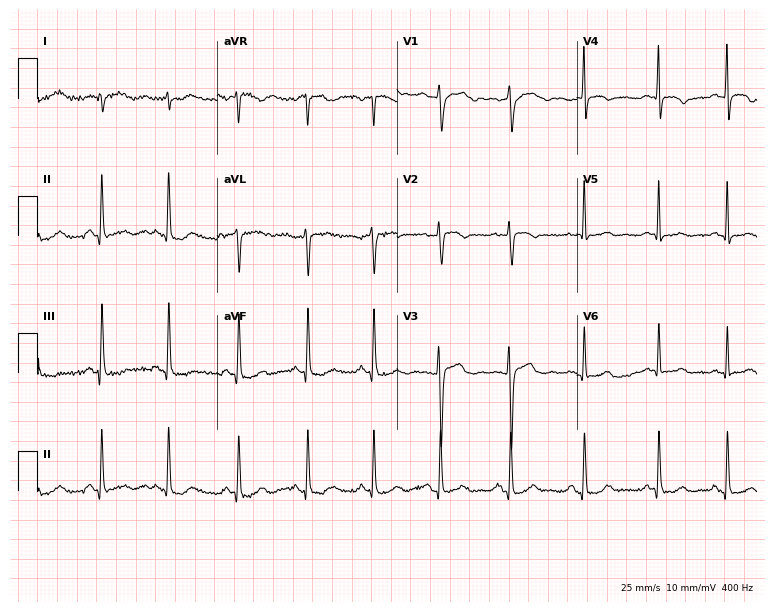
Resting 12-lead electrocardiogram (7.3-second recording at 400 Hz). Patient: a female, 22 years old. None of these six findings is recorded: first-degree AV block, right bundle branch block, left bundle branch block, sinus bradycardia, atrial fibrillation, sinus tachycardia.